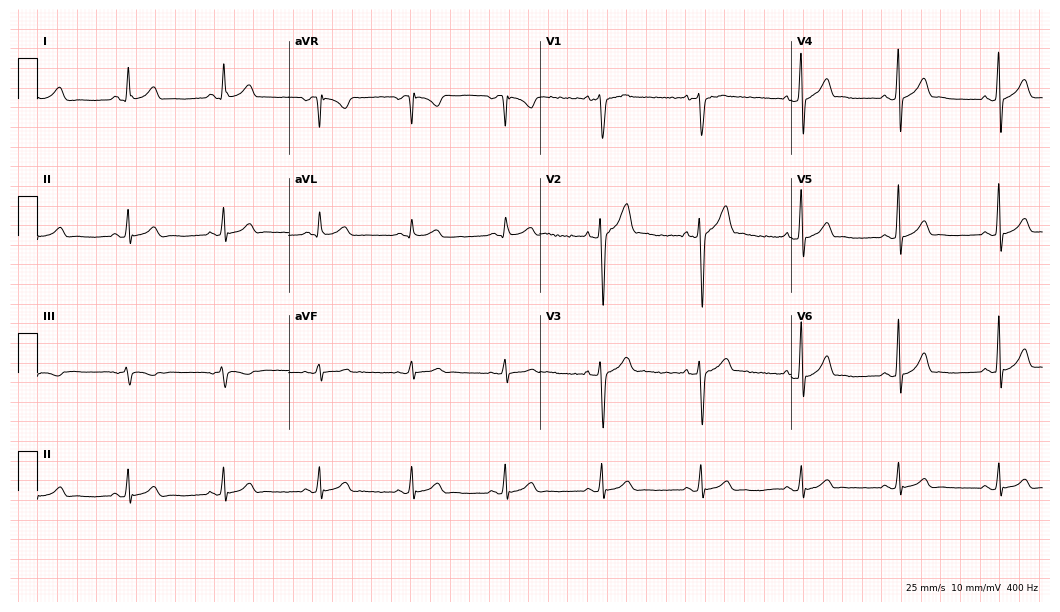
ECG — a male patient, 39 years old. Screened for six findings — first-degree AV block, right bundle branch block (RBBB), left bundle branch block (LBBB), sinus bradycardia, atrial fibrillation (AF), sinus tachycardia — none is recorded.